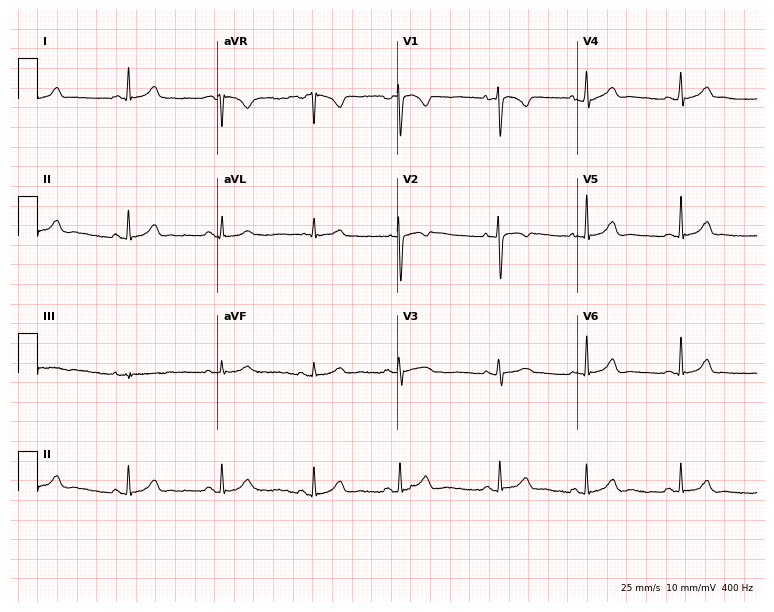
Resting 12-lead electrocardiogram (7.3-second recording at 400 Hz). Patient: a female, 20 years old. Read as a normal ECG.